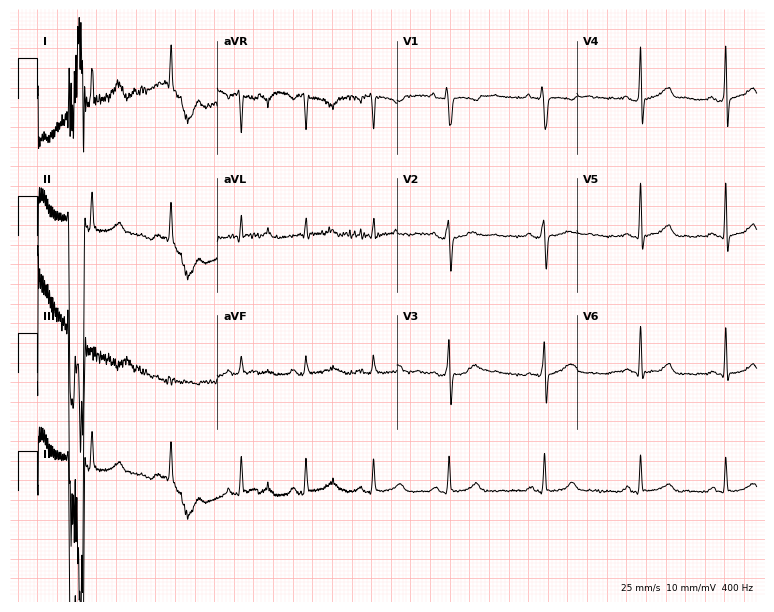
Standard 12-lead ECG recorded from a 29-year-old female. None of these six findings is recorded: first-degree AV block, right bundle branch block (RBBB), left bundle branch block (LBBB), sinus bradycardia, atrial fibrillation (AF), sinus tachycardia. Only these six findings were labelled.